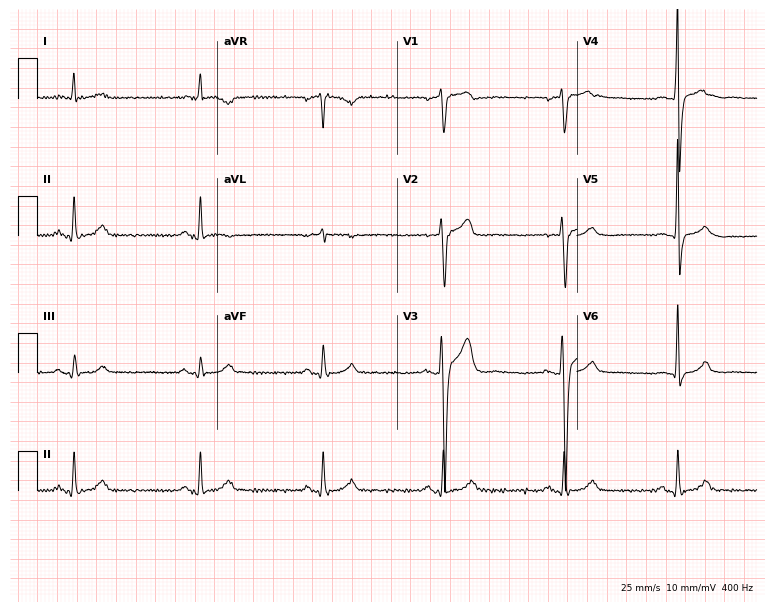
Standard 12-lead ECG recorded from a 56-year-old male patient. The tracing shows sinus bradycardia (a sinus rate of 50 beats per minute or less).